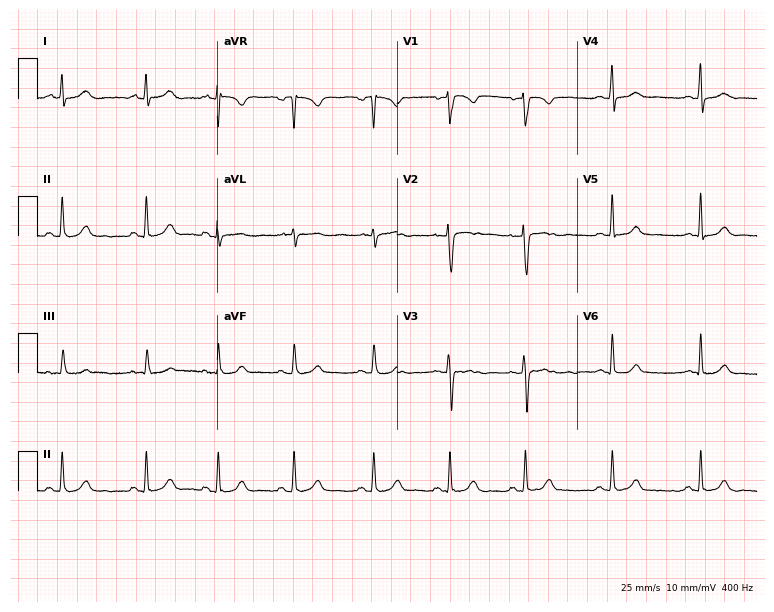
12-lead ECG from a 24-year-old woman. Recorded interpretation: within normal limits.